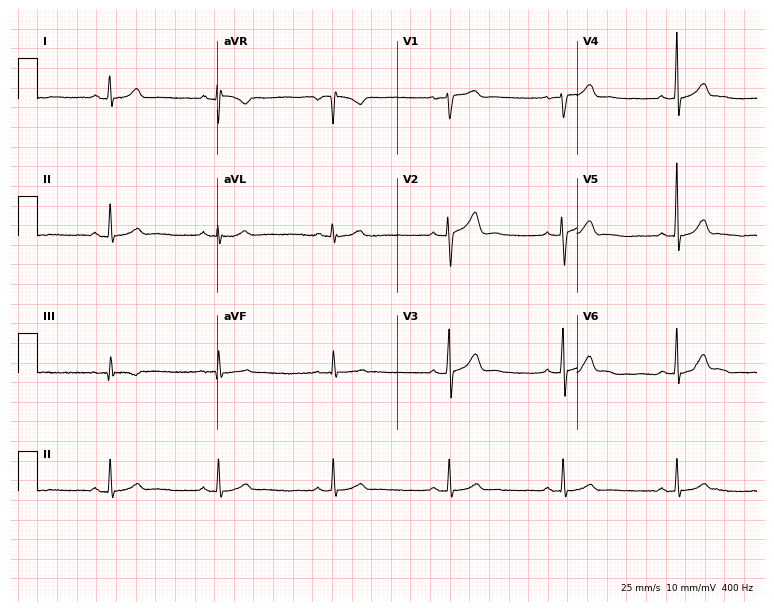
12-lead ECG from a 40-year-old male. Recorded interpretation: within normal limits.